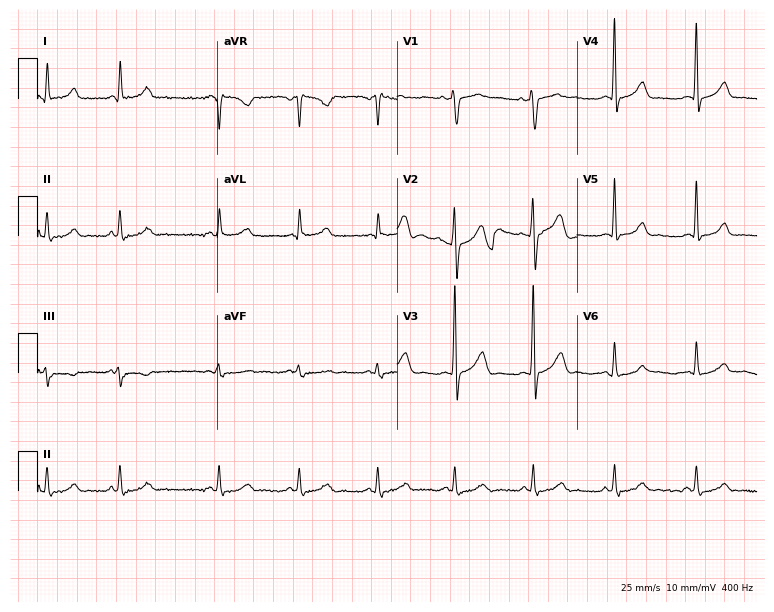
12-lead ECG from a female, 39 years old. Recorded interpretation: within normal limits.